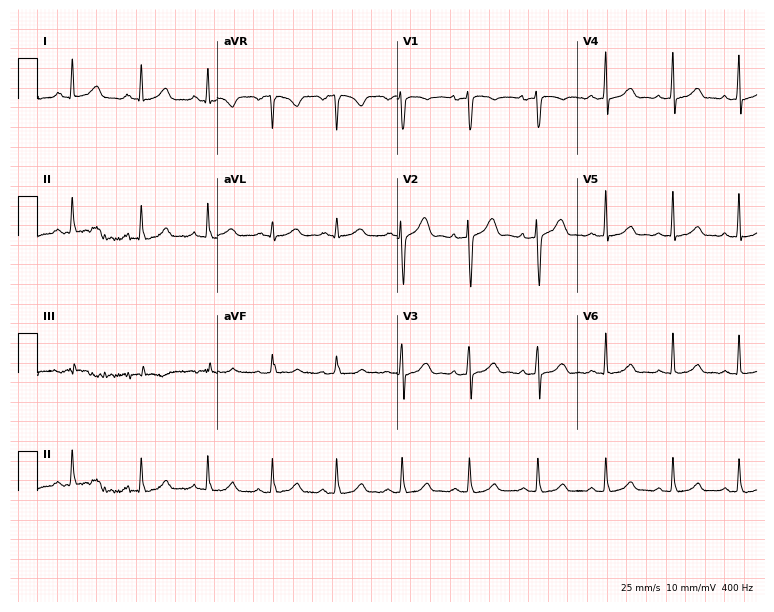
Standard 12-lead ECG recorded from a male, 39 years old. Read as a normal ECG.